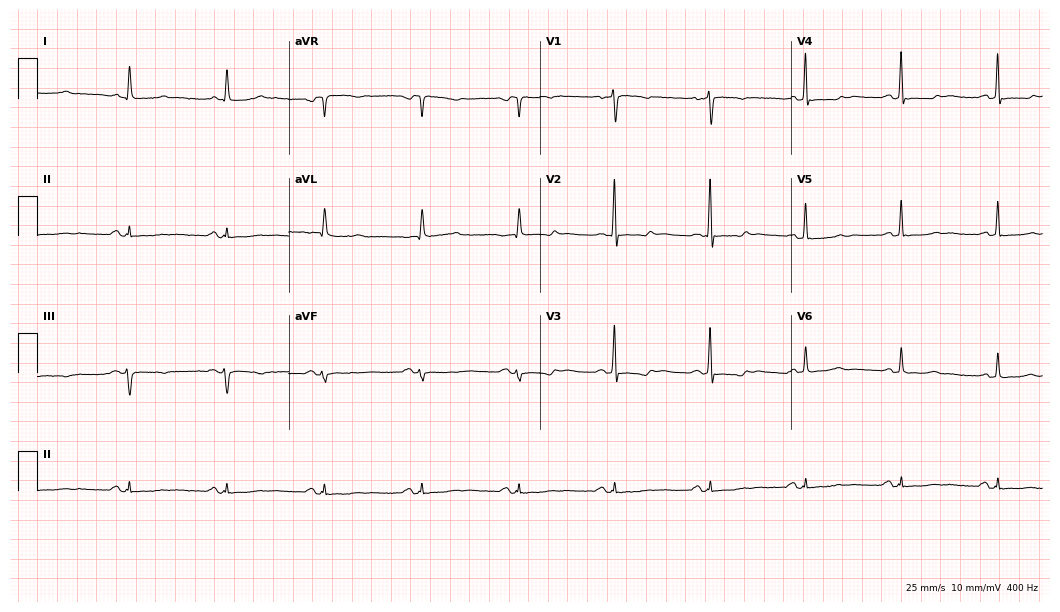
ECG — a 72-year-old woman. Screened for six findings — first-degree AV block, right bundle branch block (RBBB), left bundle branch block (LBBB), sinus bradycardia, atrial fibrillation (AF), sinus tachycardia — none is recorded. Findings outside these six are not listed.